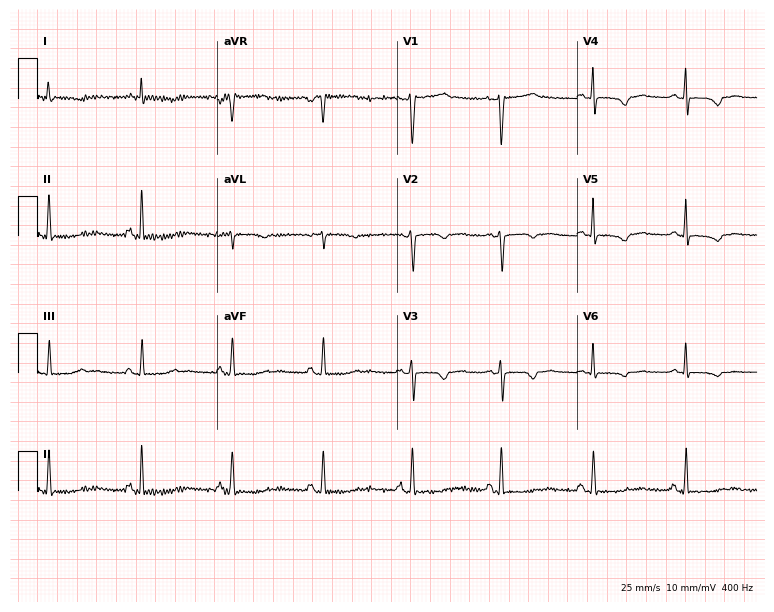
ECG — a woman, 53 years old. Screened for six findings — first-degree AV block, right bundle branch block, left bundle branch block, sinus bradycardia, atrial fibrillation, sinus tachycardia — none is recorded.